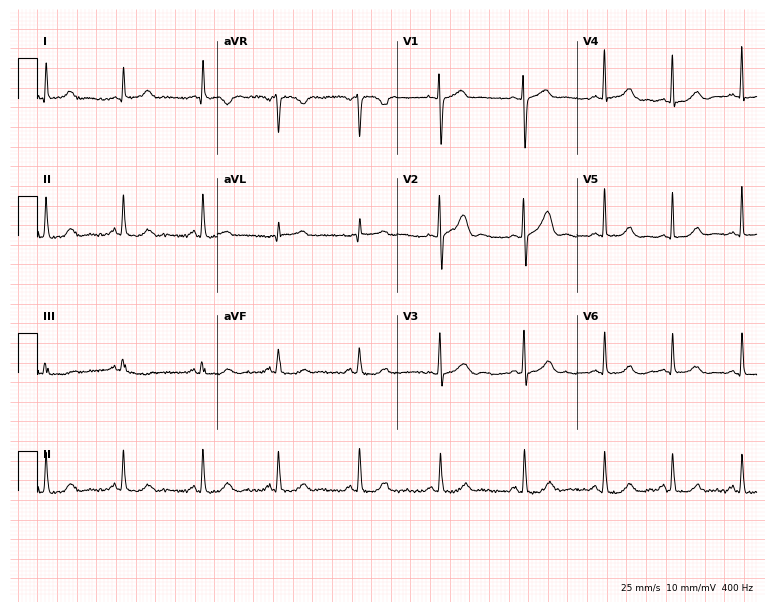
ECG — a 37-year-old female patient. Labelled as a normal ECG.